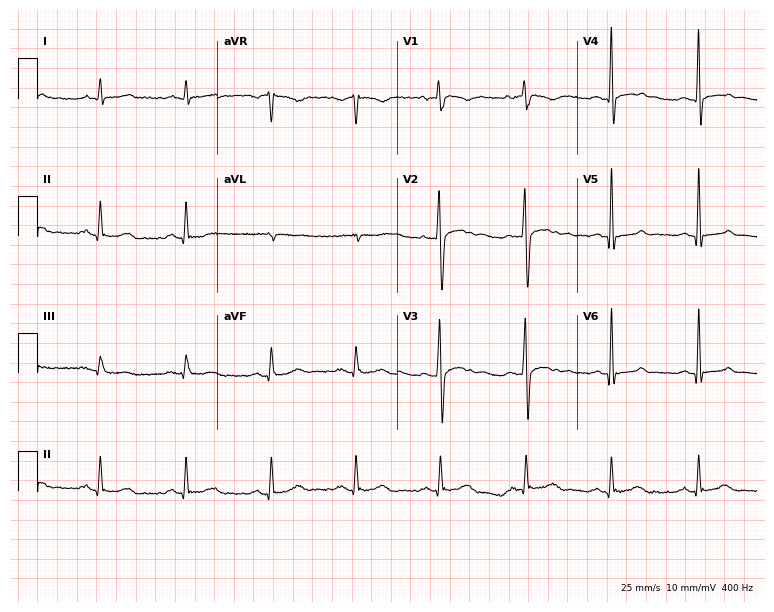
12-lead ECG from a male, 44 years old. Recorded interpretation: within normal limits.